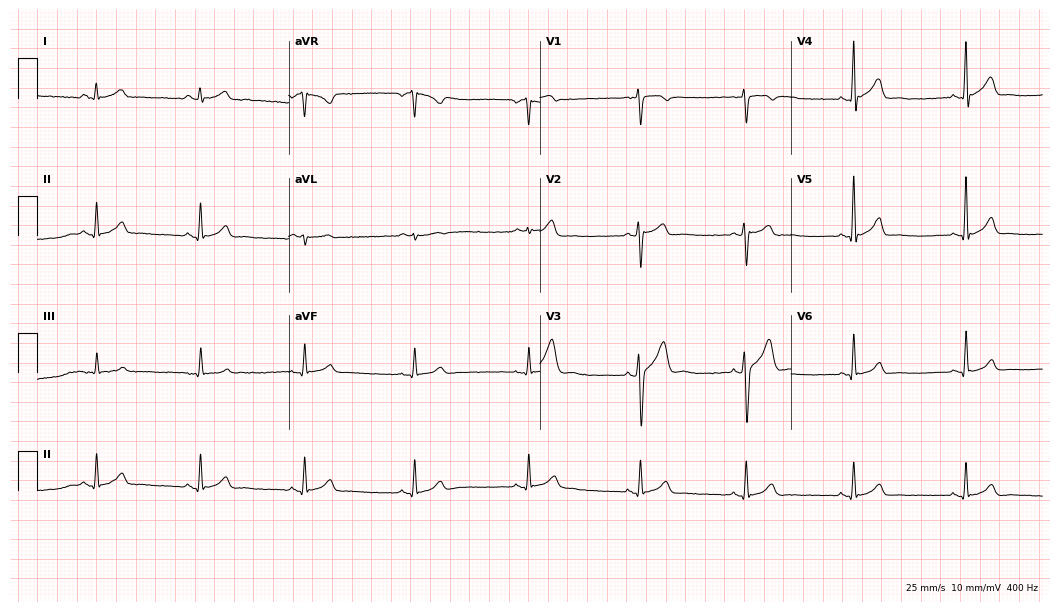
Resting 12-lead electrocardiogram. Patient: a 23-year-old male. Read as a normal ECG.